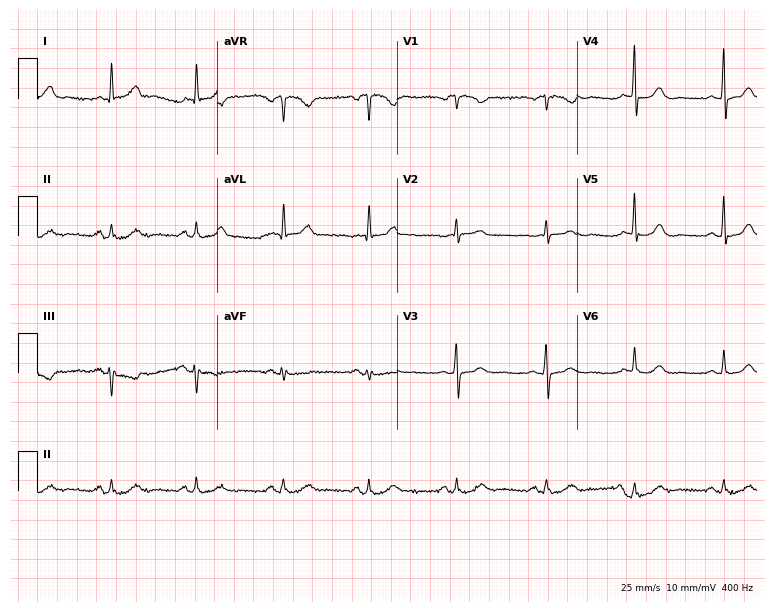
12-lead ECG from a female, 63 years old. Recorded interpretation: within normal limits.